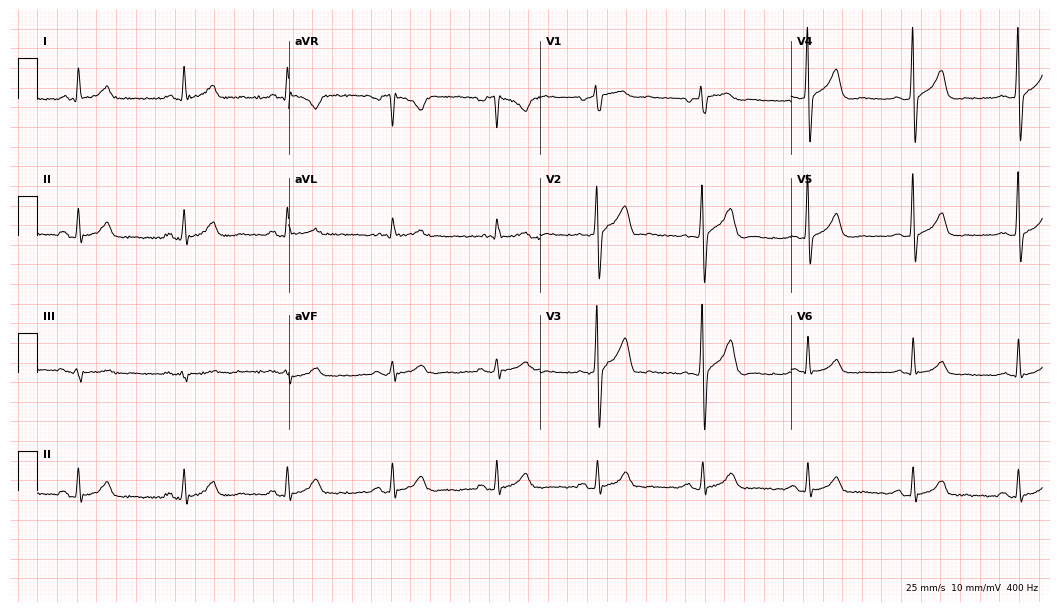
12-lead ECG from a male patient, 74 years old. No first-degree AV block, right bundle branch block, left bundle branch block, sinus bradycardia, atrial fibrillation or sinus tachycardia recorded for this tracing. Findings outside these six are not listed.